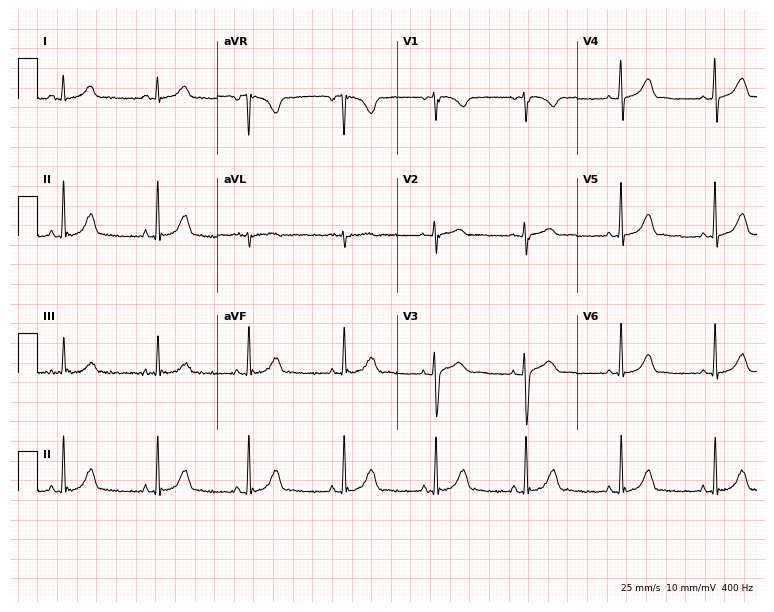
12-lead ECG (7.3-second recording at 400 Hz) from a 25-year-old female patient. Labelled as a normal ECG.